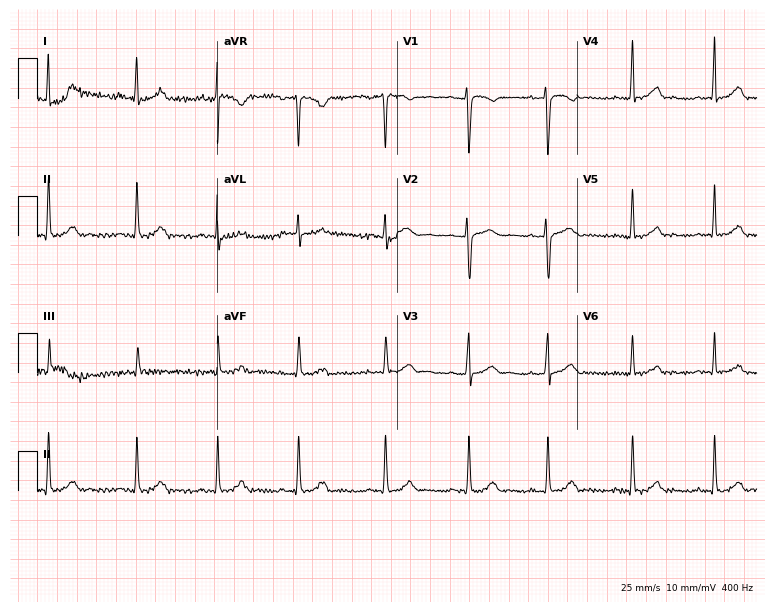
12-lead ECG from a 27-year-old female patient (7.3-second recording at 400 Hz). No first-degree AV block, right bundle branch block, left bundle branch block, sinus bradycardia, atrial fibrillation or sinus tachycardia recorded for this tracing. Findings outside these six are not listed.